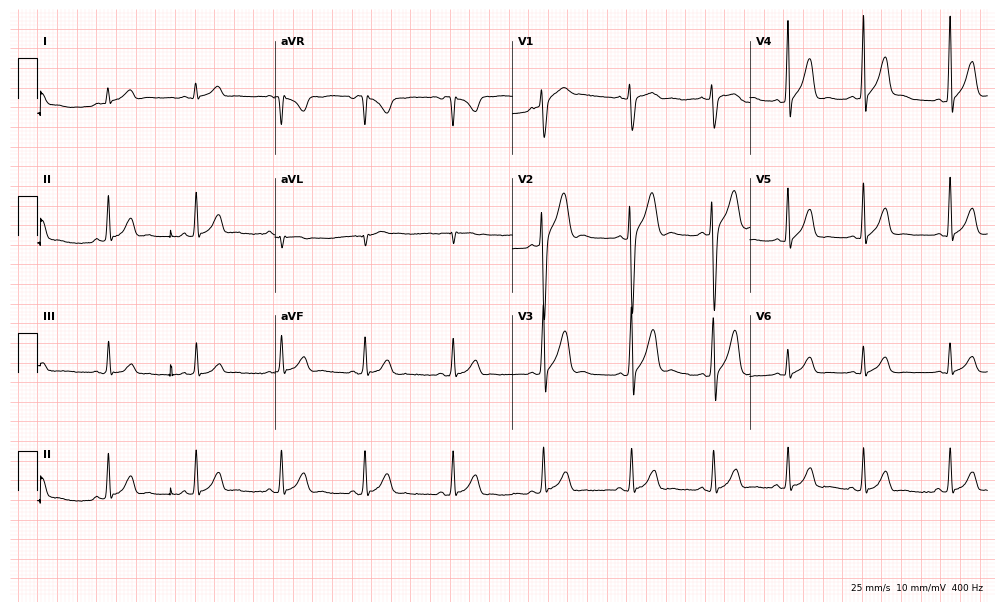
12-lead ECG from a 22-year-old male. Labelled as a normal ECG.